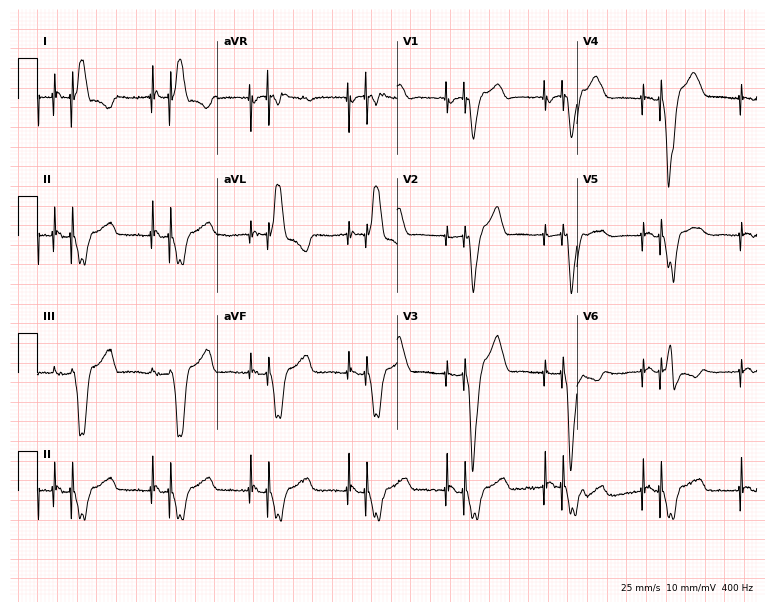
12-lead ECG (7.3-second recording at 400 Hz) from a 75-year-old male. Screened for six findings — first-degree AV block, right bundle branch block, left bundle branch block, sinus bradycardia, atrial fibrillation, sinus tachycardia — none is recorded. Other findings, if any, are not listed.